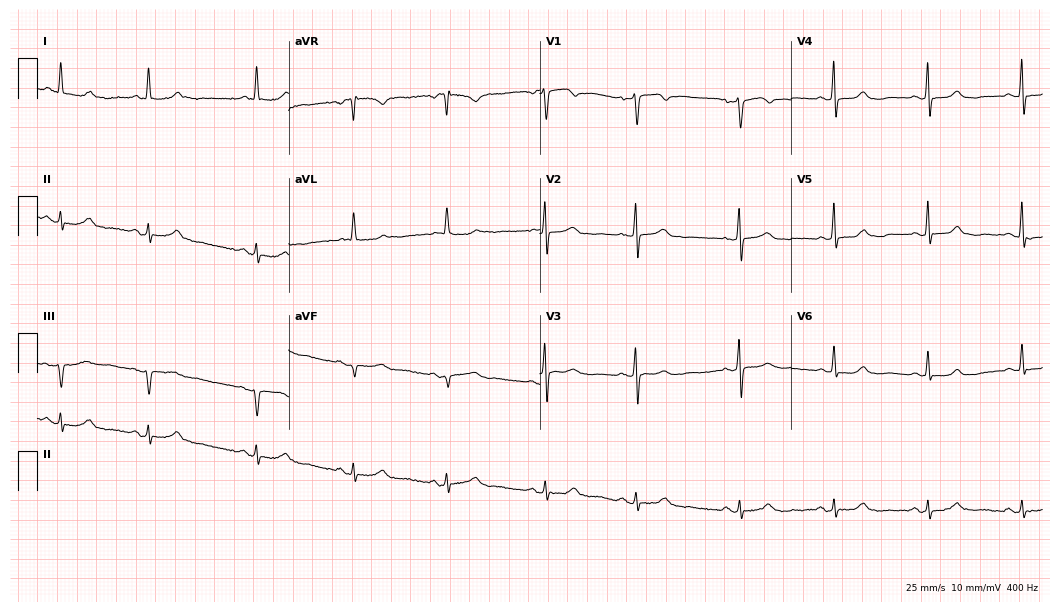
Resting 12-lead electrocardiogram (10.2-second recording at 400 Hz). Patient: a female, 83 years old. None of these six findings is recorded: first-degree AV block, right bundle branch block, left bundle branch block, sinus bradycardia, atrial fibrillation, sinus tachycardia. Other findings, if any, are not listed.